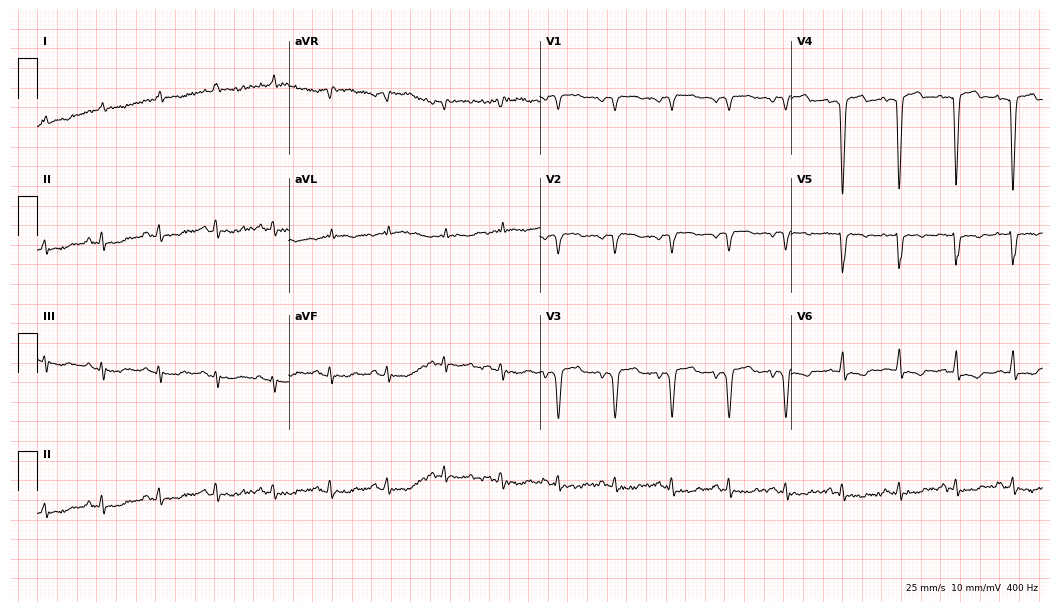
Resting 12-lead electrocardiogram (10.2-second recording at 400 Hz). Patient: an 82-year-old male. The tracing shows sinus tachycardia (a sinus rate of 100 beats per minute or more).